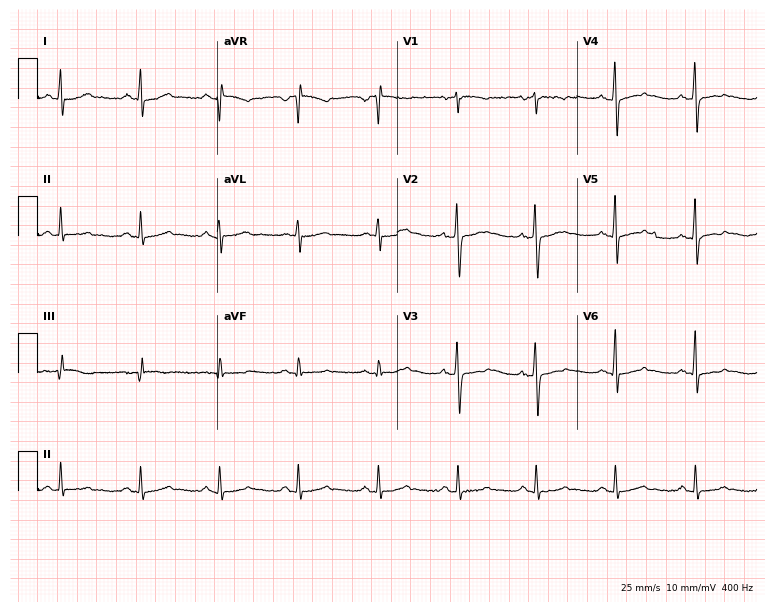
12-lead ECG from a male, 42 years old. Labelled as a normal ECG.